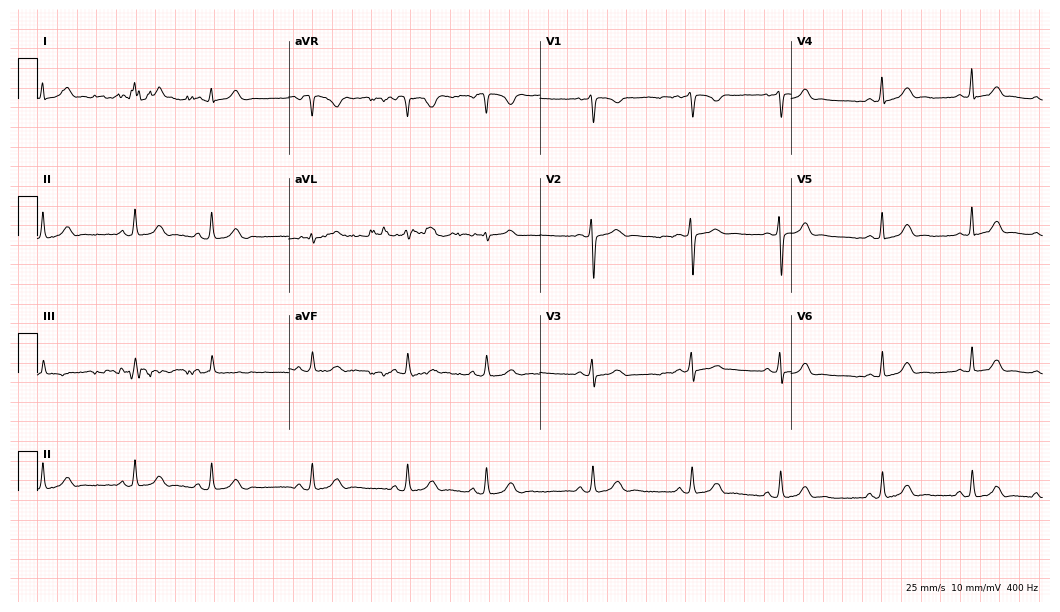
Resting 12-lead electrocardiogram. Patient: an 18-year-old woman. Read as a normal ECG.